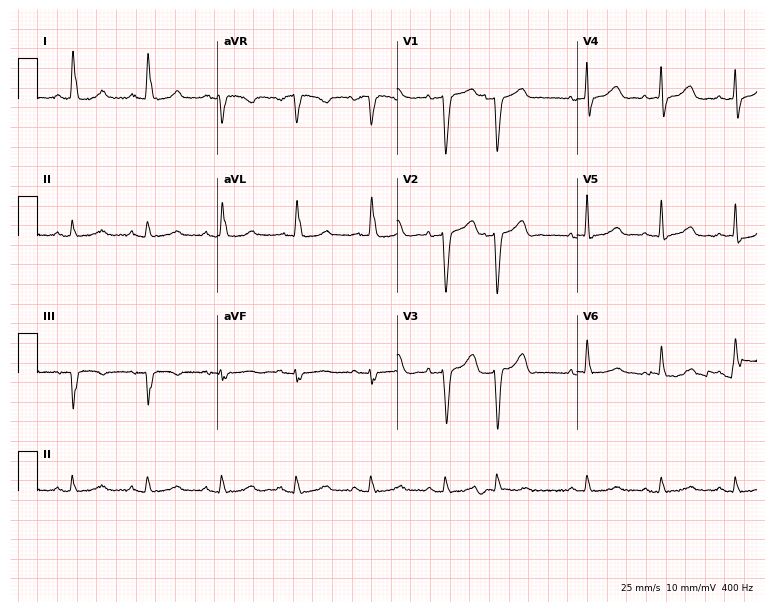
Standard 12-lead ECG recorded from a woman, 82 years old (7.3-second recording at 400 Hz). None of these six findings is recorded: first-degree AV block, right bundle branch block (RBBB), left bundle branch block (LBBB), sinus bradycardia, atrial fibrillation (AF), sinus tachycardia.